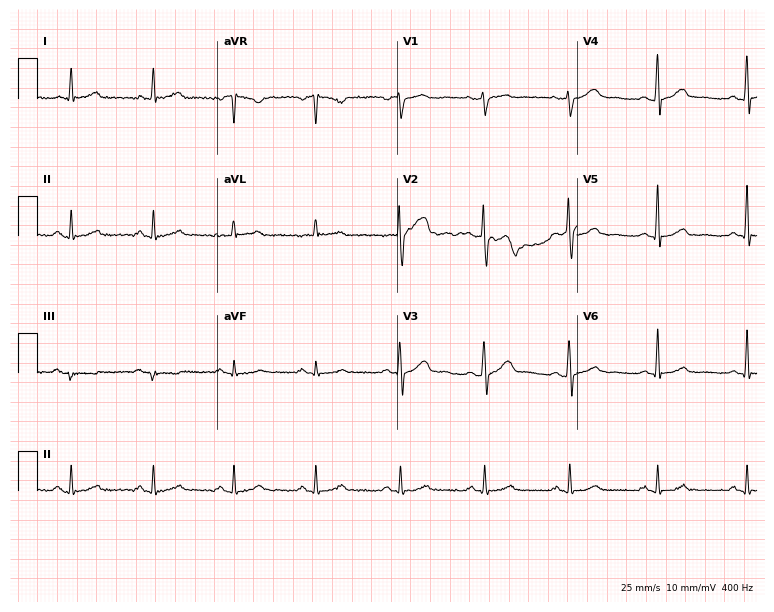
Resting 12-lead electrocardiogram. Patient: a male, 48 years old. None of these six findings is recorded: first-degree AV block, right bundle branch block (RBBB), left bundle branch block (LBBB), sinus bradycardia, atrial fibrillation (AF), sinus tachycardia. Findings outside these six are not listed.